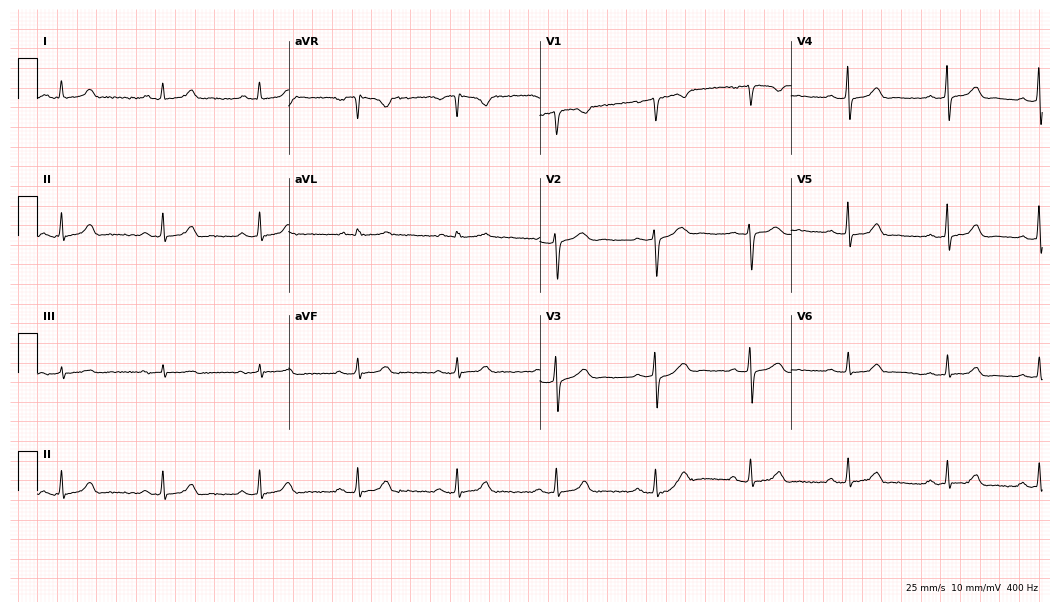
12-lead ECG from a 37-year-old female. Recorded interpretation: within normal limits.